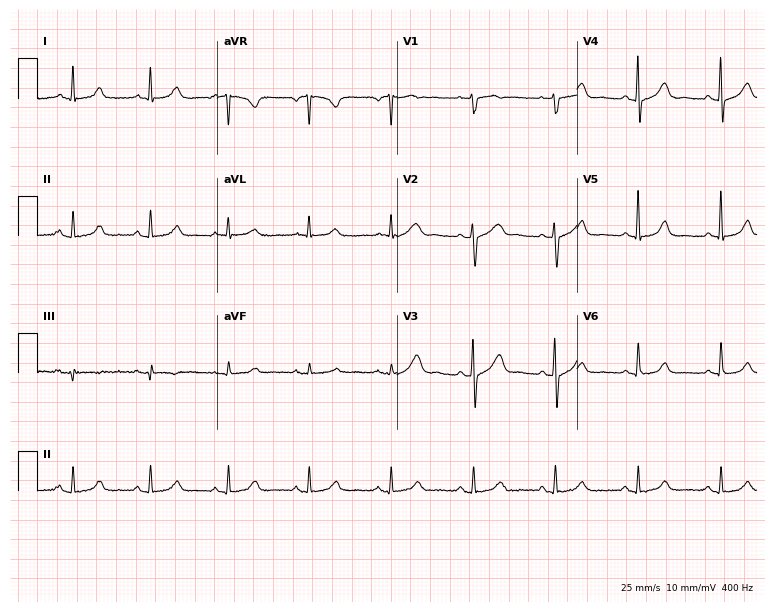
ECG — a woman, 56 years old. Screened for six findings — first-degree AV block, right bundle branch block (RBBB), left bundle branch block (LBBB), sinus bradycardia, atrial fibrillation (AF), sinus tachycardia — none is recorded.